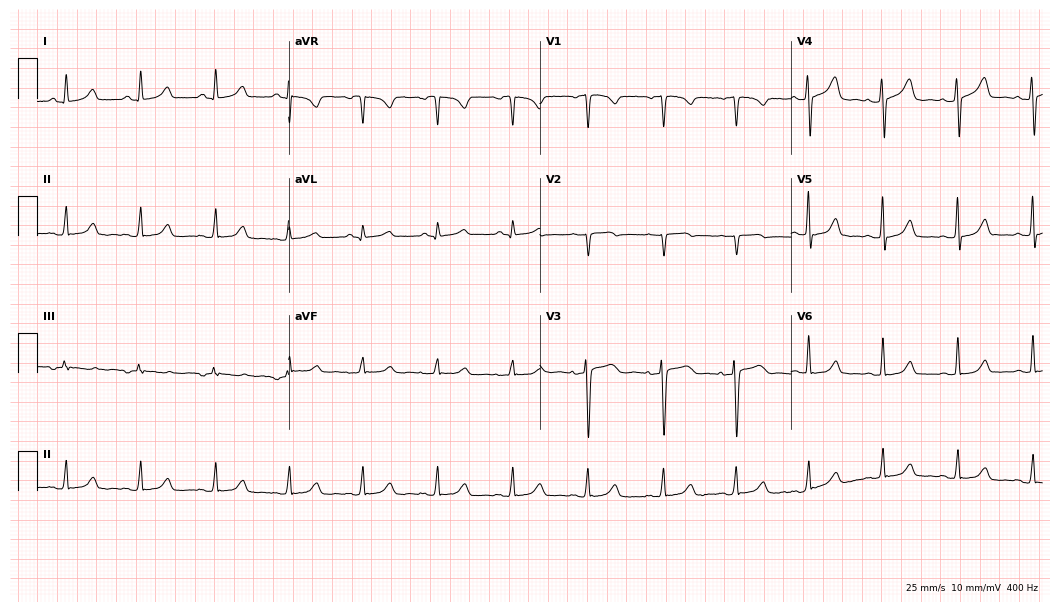
ECG — a 39-year-old female patient. Labelled as a normal ECG.